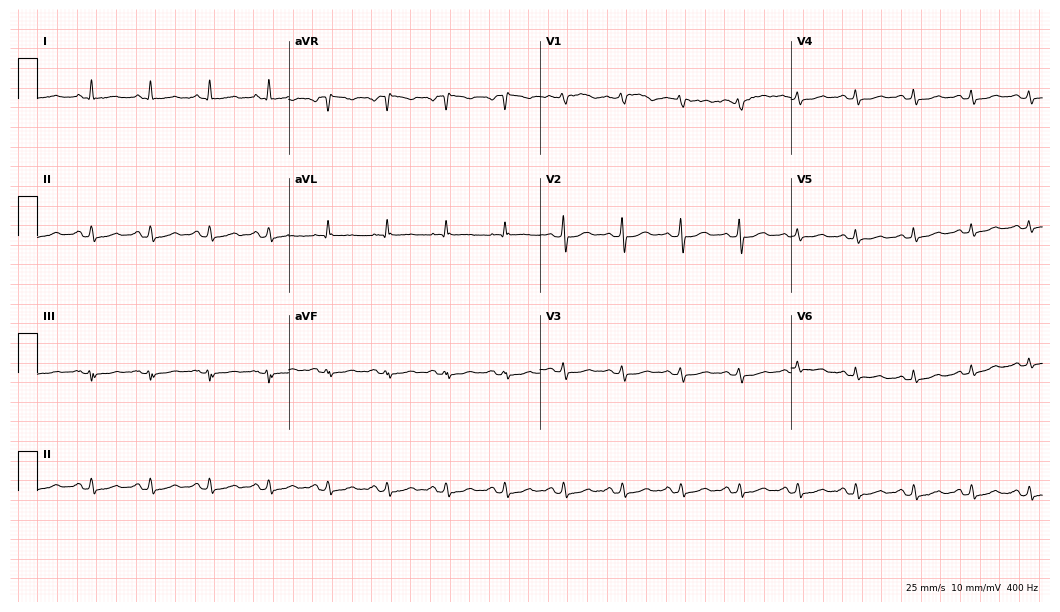
Standard 12-lead ECG recorded from a 59-year-old female (10.2-second recording at 400 Hz). None of these six findings is recorded: first-degree AV block, right bundle branch block, left bundle branch block, sinus bradycardia, atrial fibrillation, sinus tachycardia.